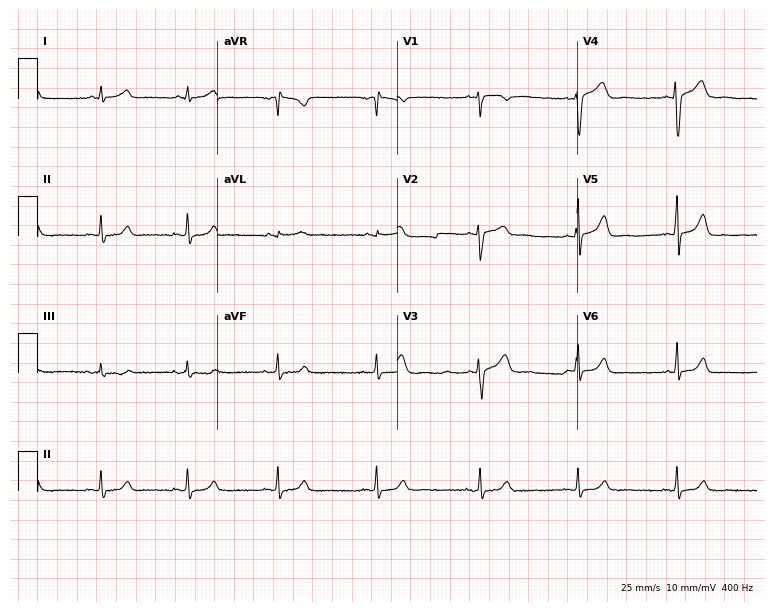
Standard 12-lead ECG recorded from a 43-year-old female. Read as a normal ECG.